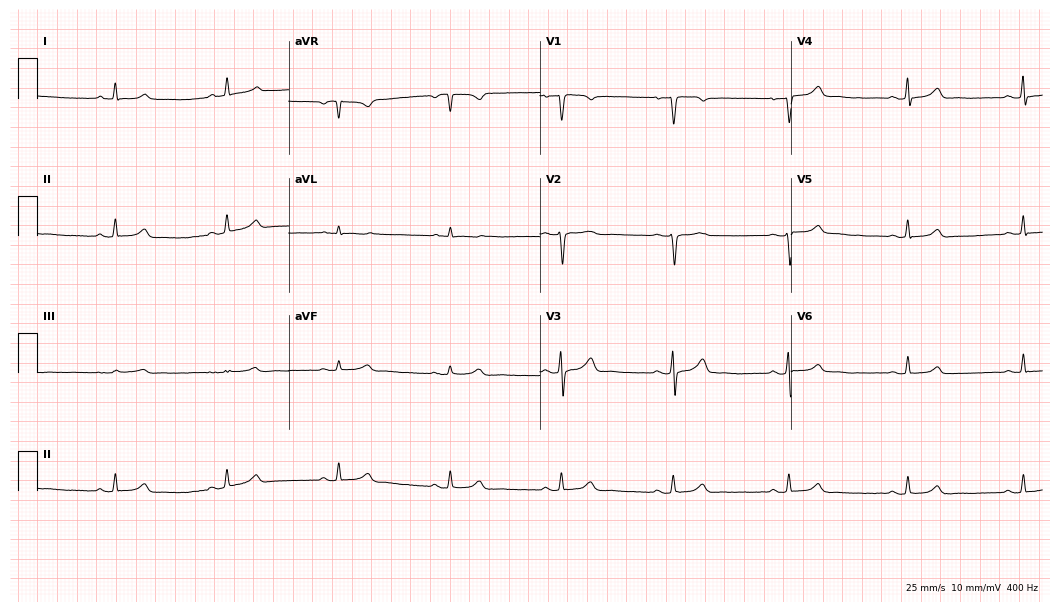
12-lead ECG (10.2-second recording at 400 Hz) from a female, 36 years old. Labelled as a normal ECG.